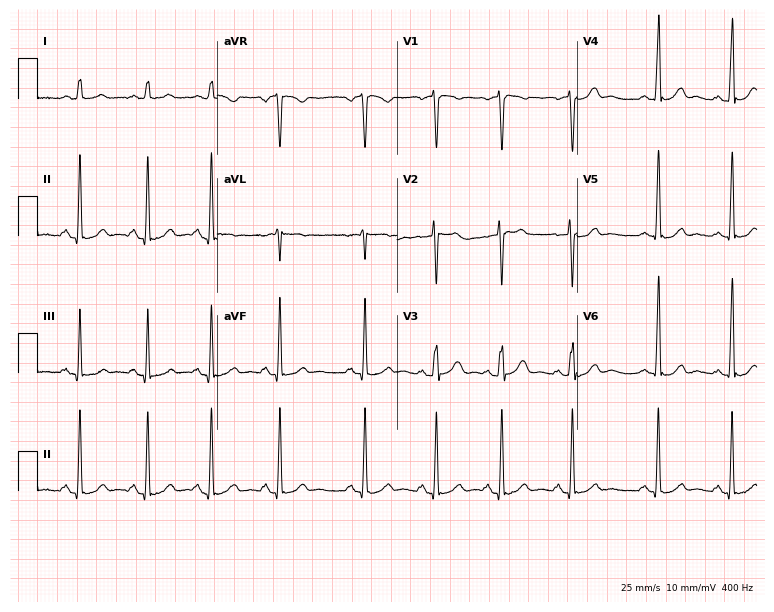
ECG (7.3-second recording at 400 Hz) — a female patient, 32 years old. Labelled as a normal ECG.